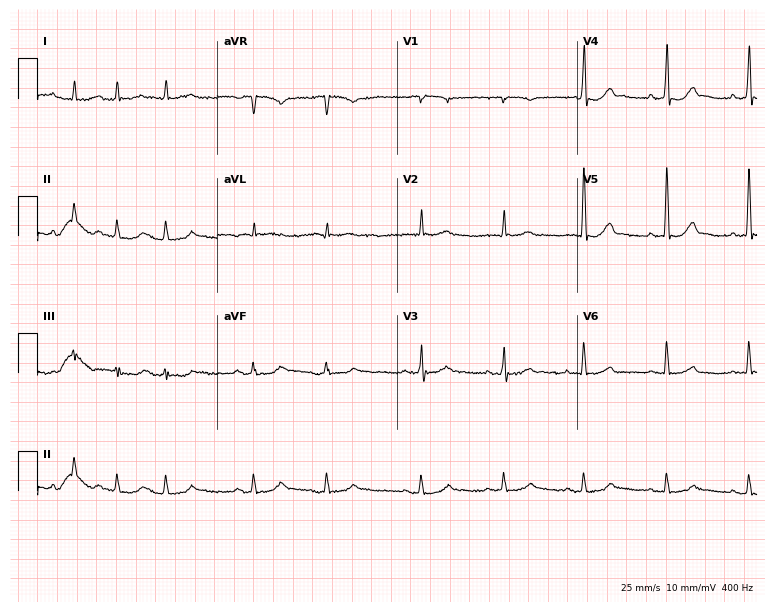
12-lead ECG from a 76-year-old male (7.3-second recording at 400 Hz). No first-degree AV block, right bundle branch block, left bundle branch block, sinus bradycardia, atrial fibrillation or sinus tachycardia recorded for this tracing. Other findings, if any, are not listed.